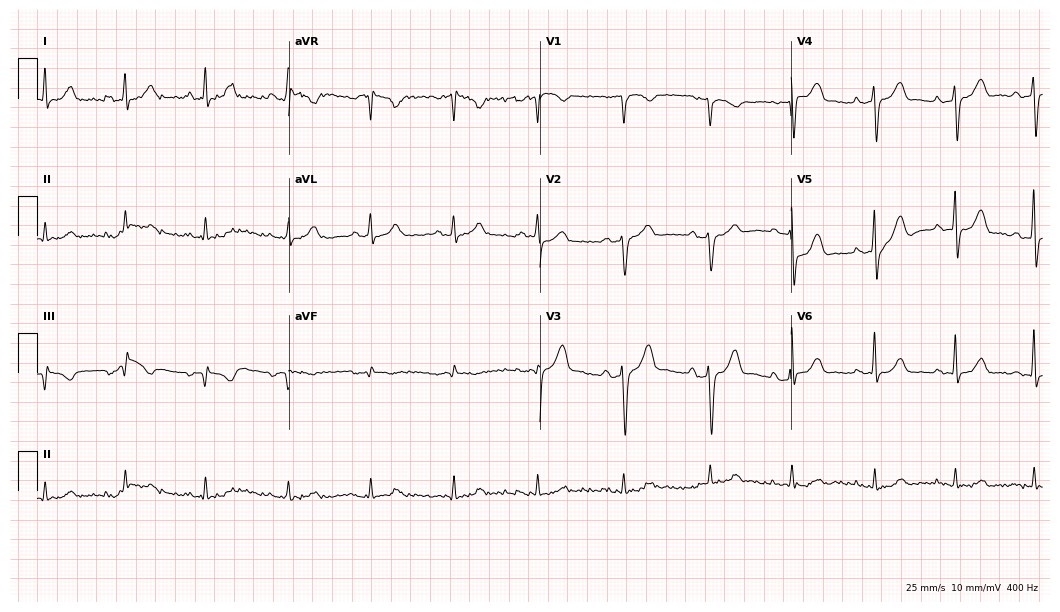
Standard 12-lead ECG recorded from a 68-year-old man. None of these six findings is recorded: first-degree AV block, right bundle branch block, left bundle branch block, sinus bradycardia, atrial fibrillation, sinus tachycardia.